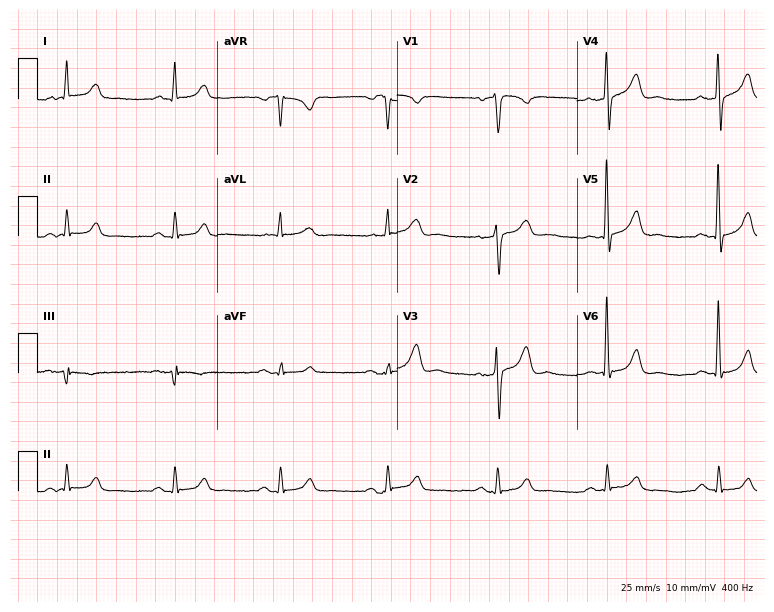
Resting 12-lead electrocardiogram. Patient: a 57-year-old male. Read as a normal ECG.